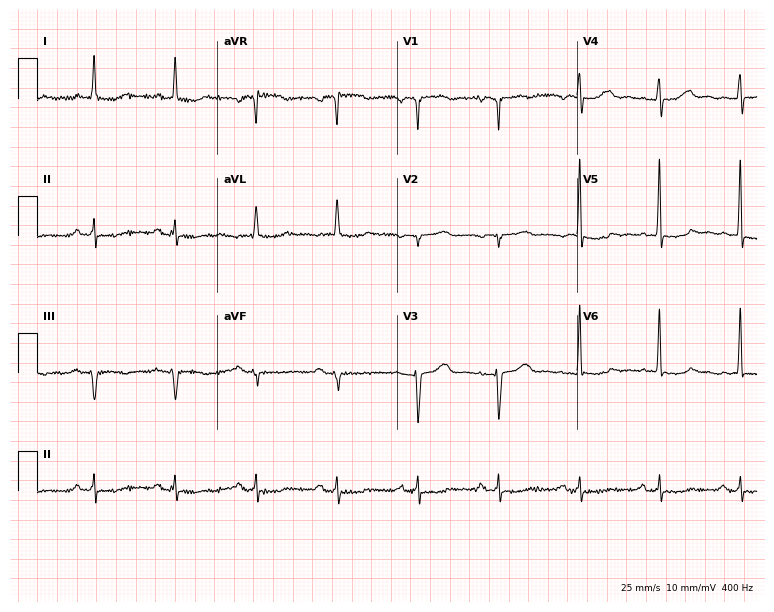
12-lead ECG from a 77-year-old woman (7.3-second recording at 400 Hz). Recorded interpretation: within normal limits.